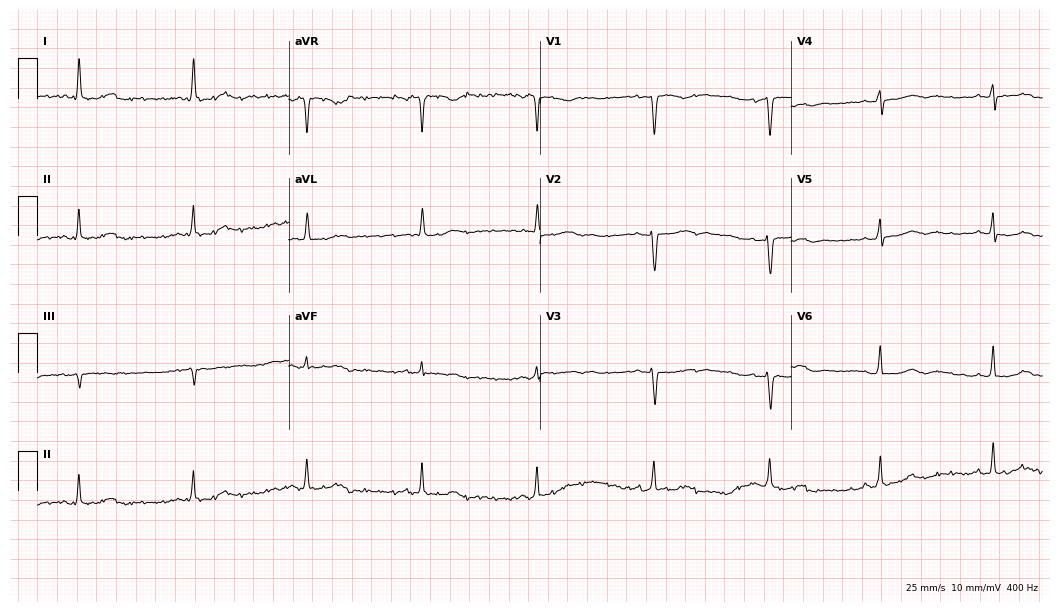
ECG (10.2-second recording at 400 Hz) — a 68-year-old female. Screened for six findings — first-degree AV block, right bundle branch block, left bundle branch block, sinus bradycardia, atrial fibrillation, sinus tachycardia — none is recorded.